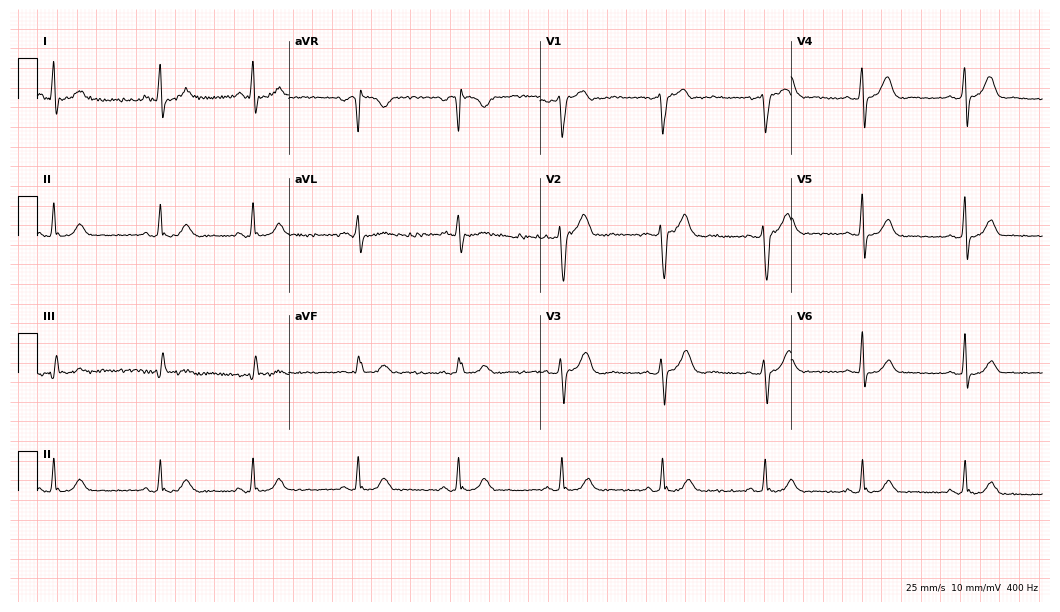
Electrocardiogram, a 33-year-old female. Overall reading on record: normal ECG.